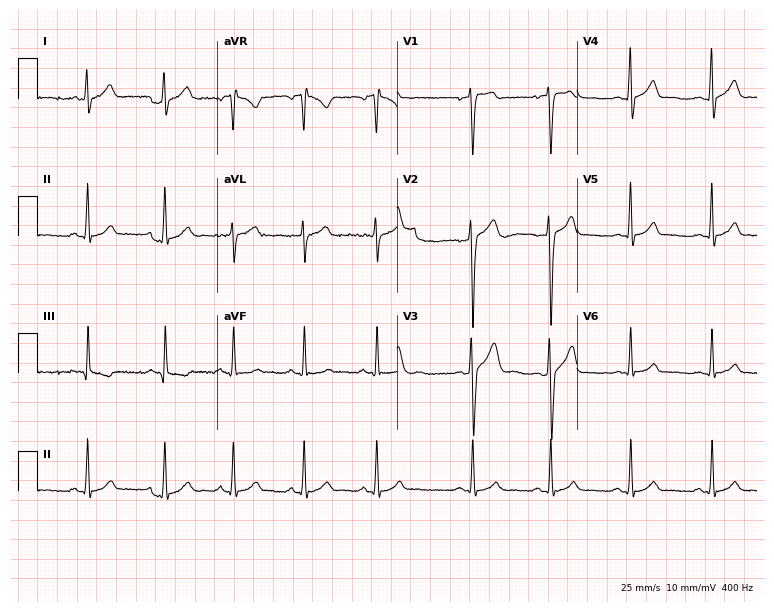
12-lead ECG from a man, 43 years old. No first-degree AV block, right bundle branch block (RBBB), left bundle branch block (LBBB), sinus bradycardia, atrial fibrillation (AF) or sinus tachycardia recorded for this tracing.